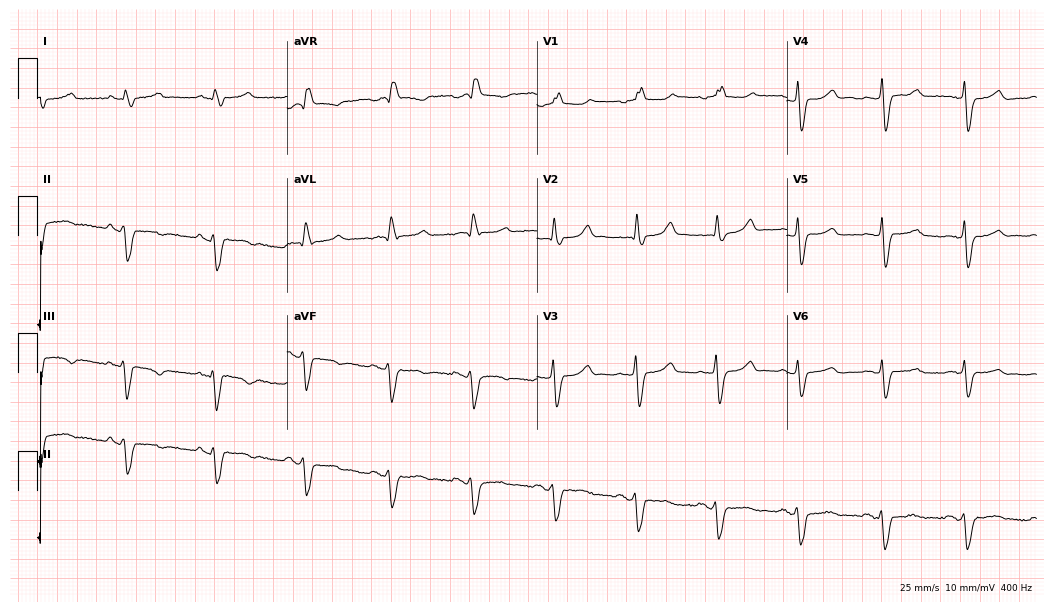
12-lead ECG (10.2-second recording at 400 Hz) from a 77-year-old male. Screened for six findings — first-degree AV block, right bundle branch block, left bundle branch block, sinus bradycardia, atrial fibrillation, sinus tachycardia — none is recorded.